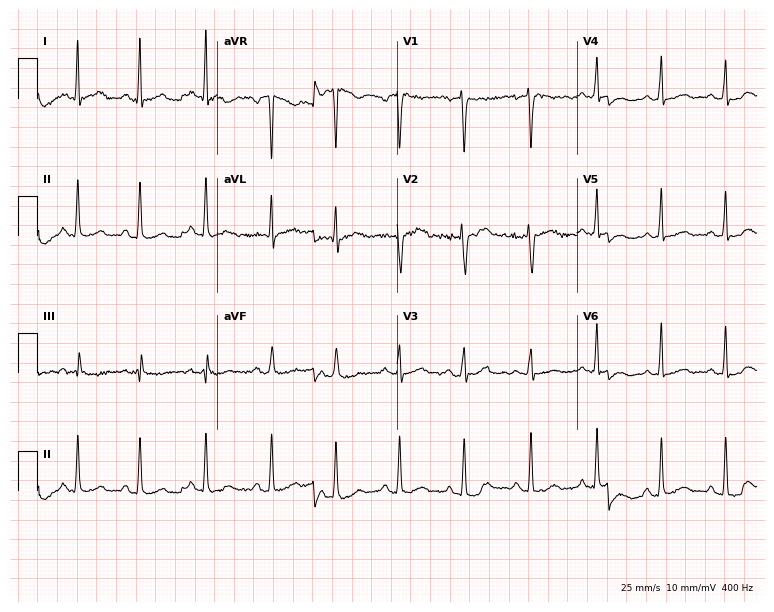
Electrocardiogram (7.3-second recording at 400 Hz), a 35-year-old woman. Overall reading on record: normal ECG.